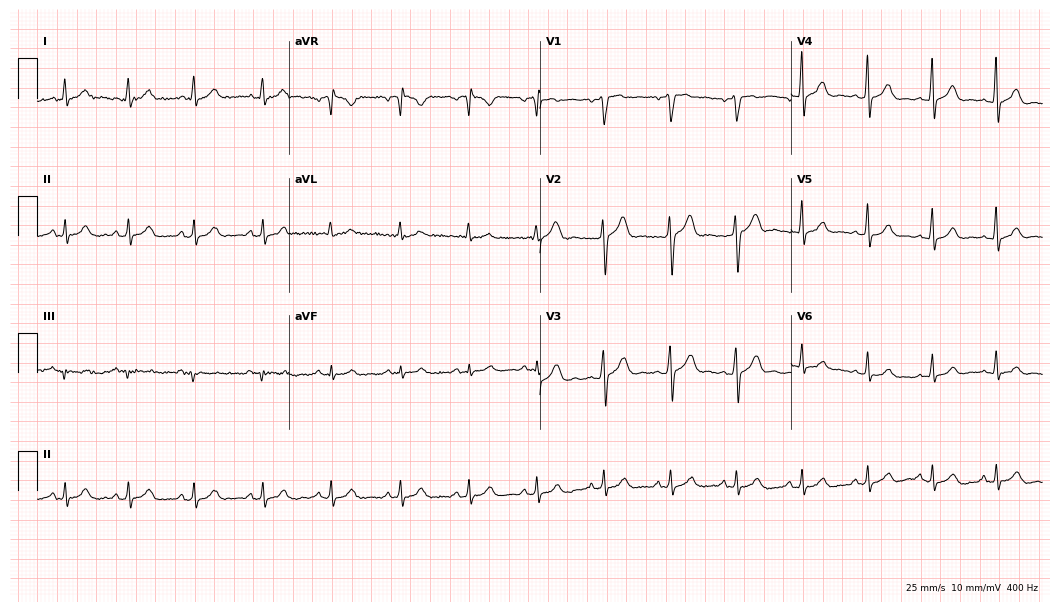
12-lead ECG from a male, 64 years old. Labelled as a normal ECG.